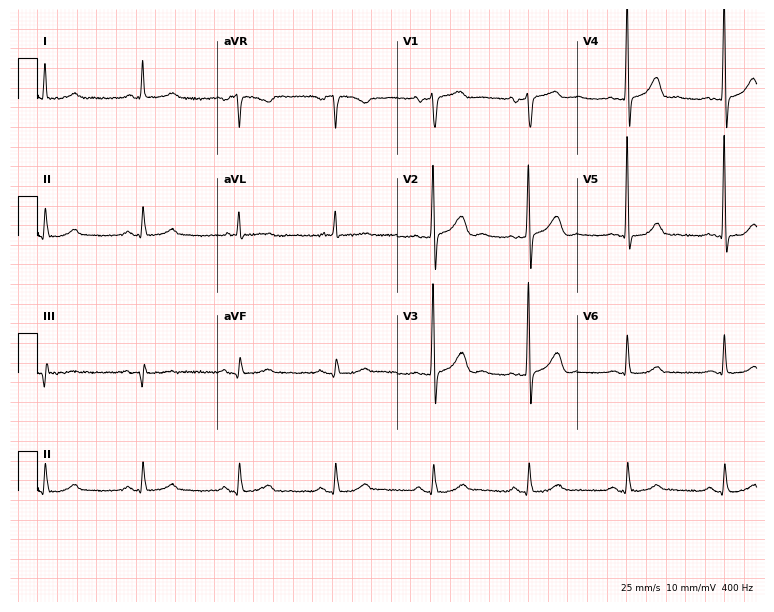
Standard 12-lead ECG recorded from a female, 69 years old. None of these six findings is recorded: first-degree AV block, right bundle branch block (RBBB), left bundle branch block (LBBB), sinus bradycardia, atrial fibrillation (AF), sinus tachycardia. Findings outside these six are not listed.